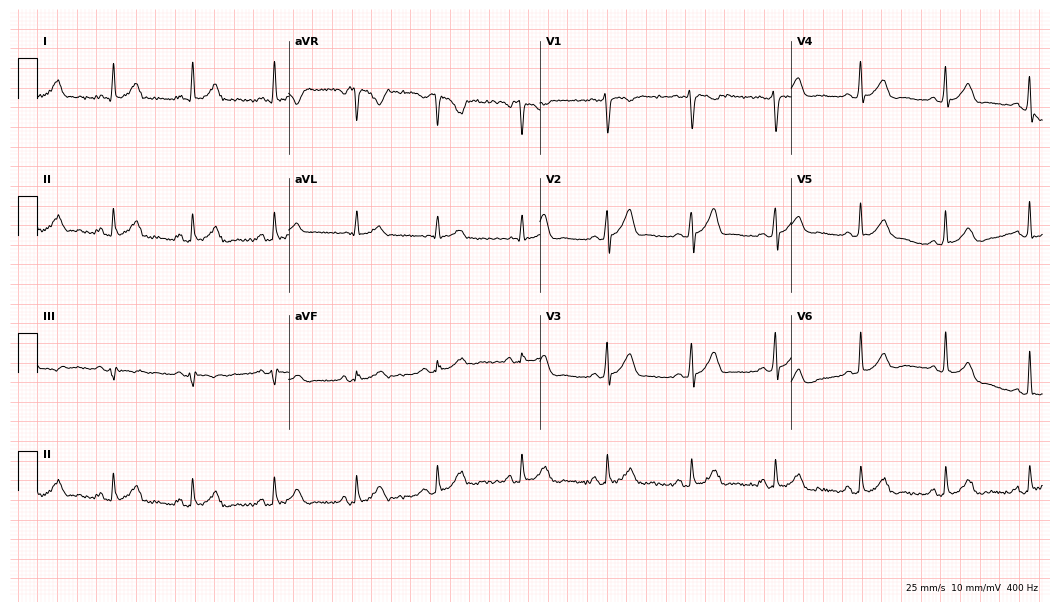
ECG — a male, 40 years old. Labelled as a normal ECG.